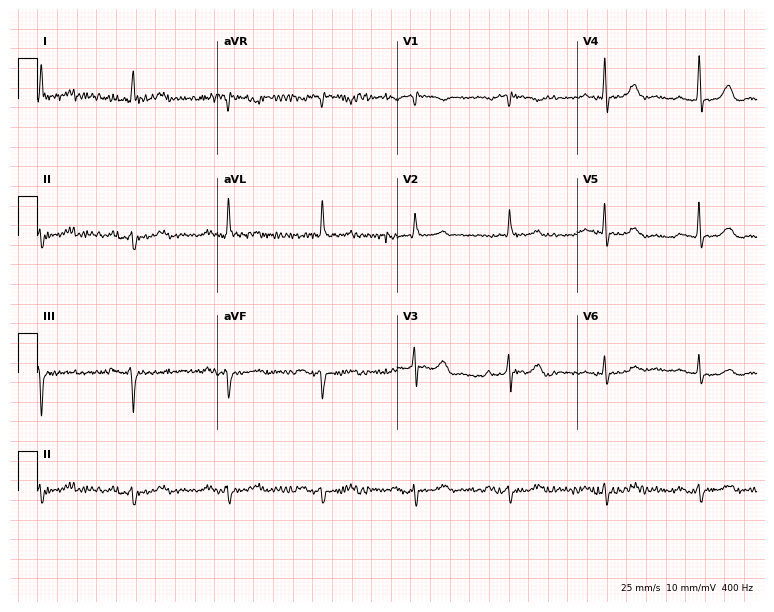
Resting 12-lead electrocardiogram (7.3-second recording at 400 Hz). Patient: a 78-year-old female. Read as a normal ECG.